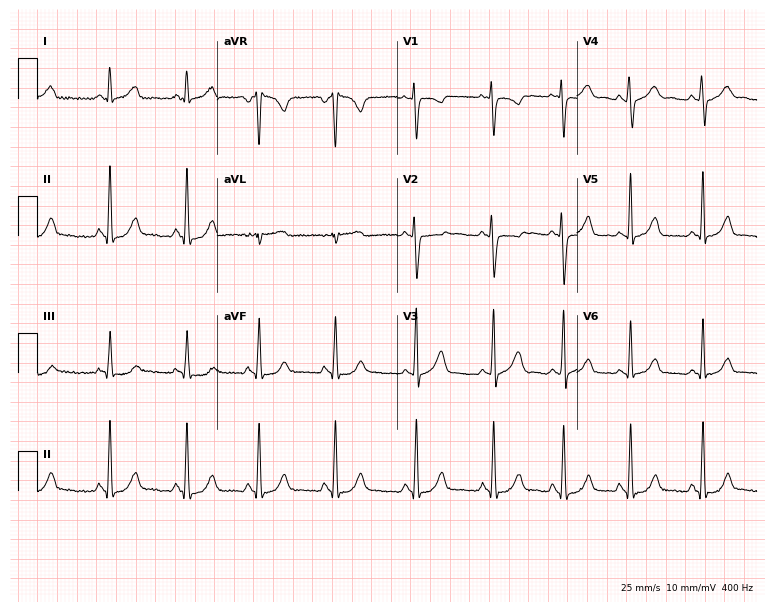
ECG (7.3-second recording at 400 Hz) — a woman, 23 years old. Labelled as a normal ECG.